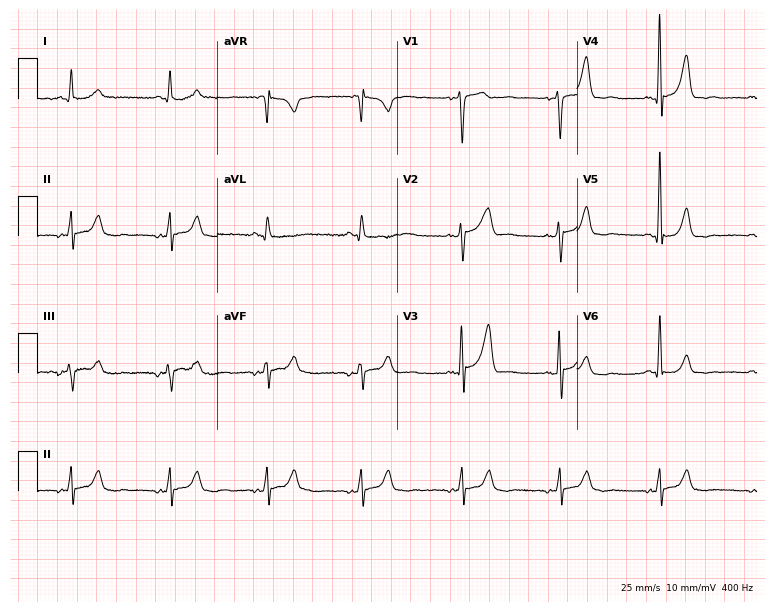
Standard 12-lead ECG recorded from a 69-year-old man. None of these six findings is recorded: first-degree AV block, right bundle branch block (RBBB), left bundle branch block (LBBB), sinus bradycardia, atrial fibrillation (AF), sinus tachycardia.